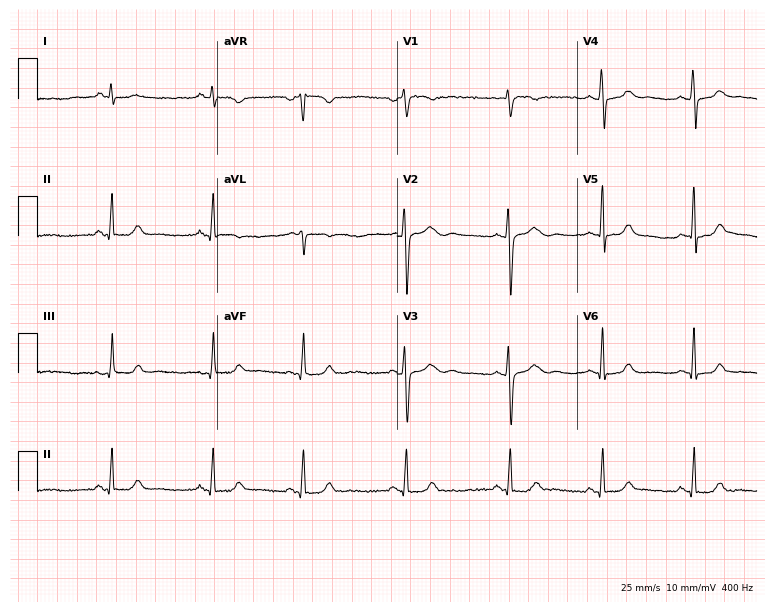
Resting 12-lead electrocardiogram (7.3-second recording at 400 Hz). Patient: a 23-year-old female. None of these six findings is recorded: first-degree AV block, right bundle branch block, left bundle branch block, sinus bradycardia, atrial fibrillation, sinus tachycardia. Findings outside these six are not listed.